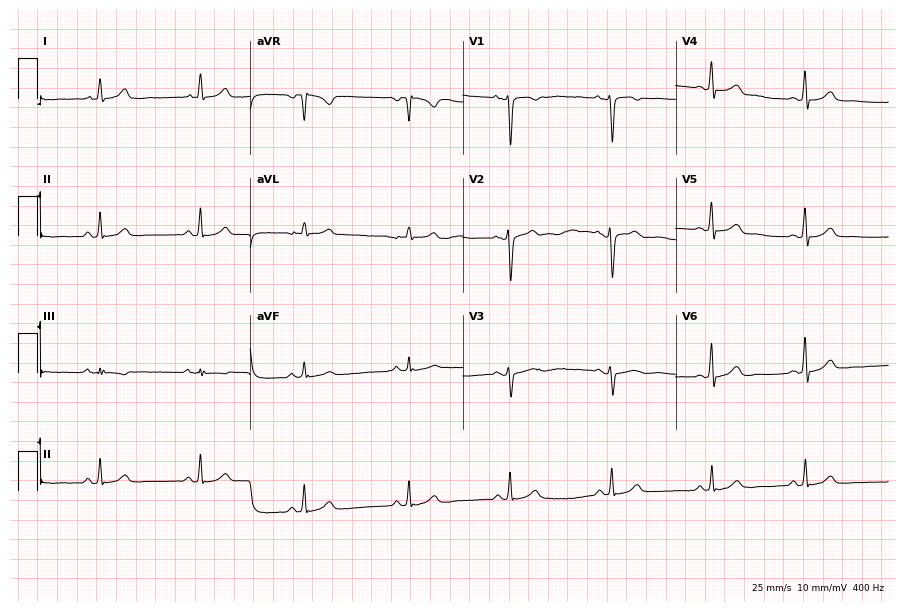
12-lead ECG from a female patient, 38 years old. Labelled as a normal ECG.